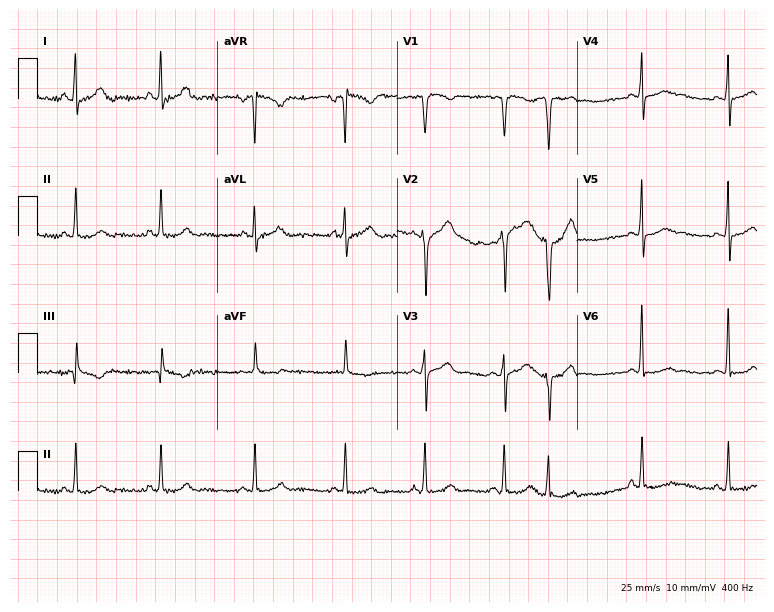
12-lead ECG (7.3-second recording at 400 Hz) from a 27-year-old female. Screened for six findings — first-degree AV block, right bundle branch block, left bundle branch block, sinus bradycardia, atrial fibrillation, sinus tachycardia — none is recorded. Other findings, if any, are not listed.